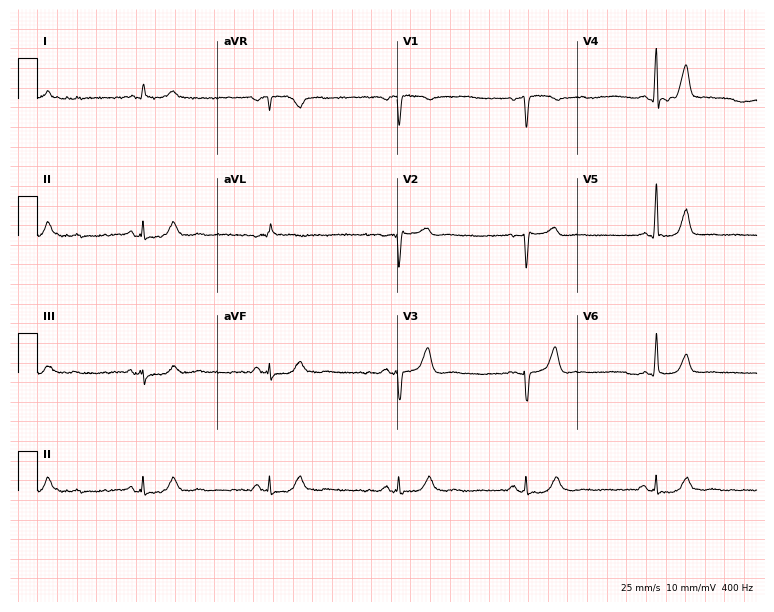
Standard 12-lead ECG recorded from a 65-year-old man. The tracing shows sinus bradycardia (a sinus rate of 50 beats per minute or less).